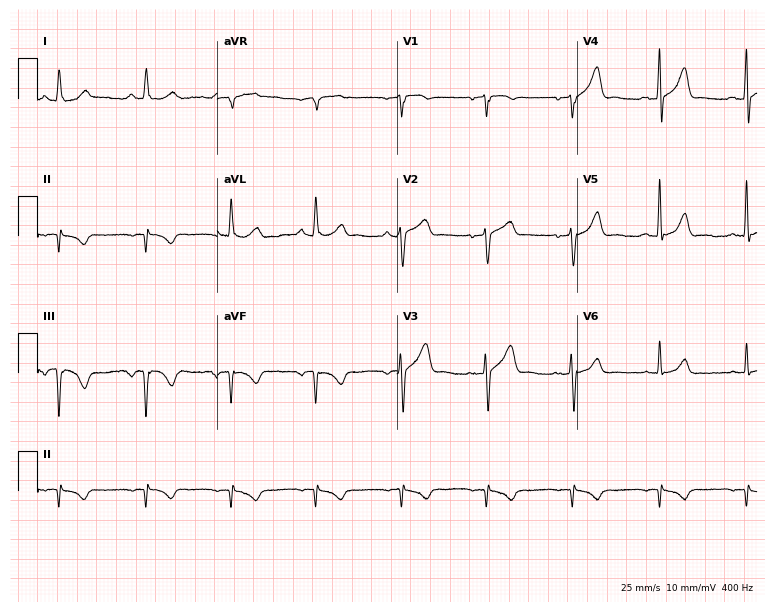
12-lead ECG (7.3-second recording at 400 Hz) from a male, 63 years old. Screened for six findings — first-degree AV block, right bundle branch block, left bundle branch block, sinus bradycardia, atrial fibrillation, sinus tachycardia — none is recorded. Other findings, if any, are not listed.